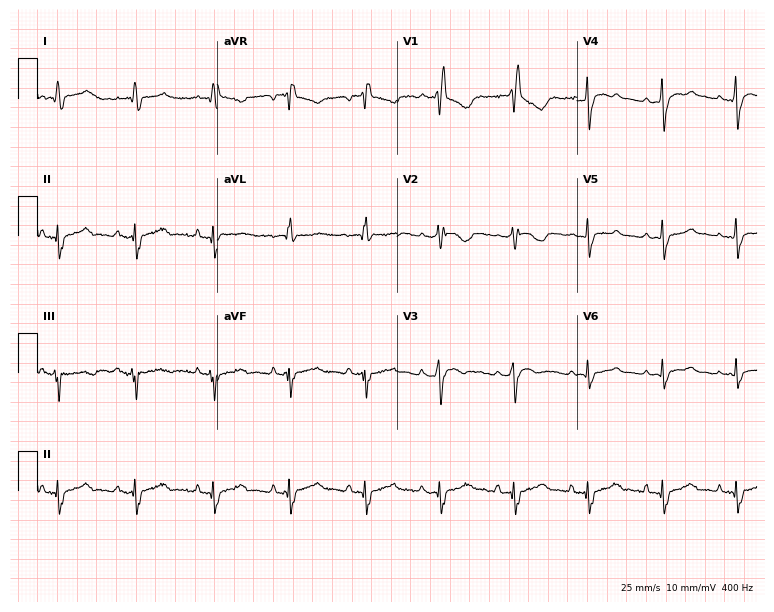
Resting 12-lead electrocardiogram. Patient: a woman, 58 years old. The tracing shows right bundle branch block (RBBB).